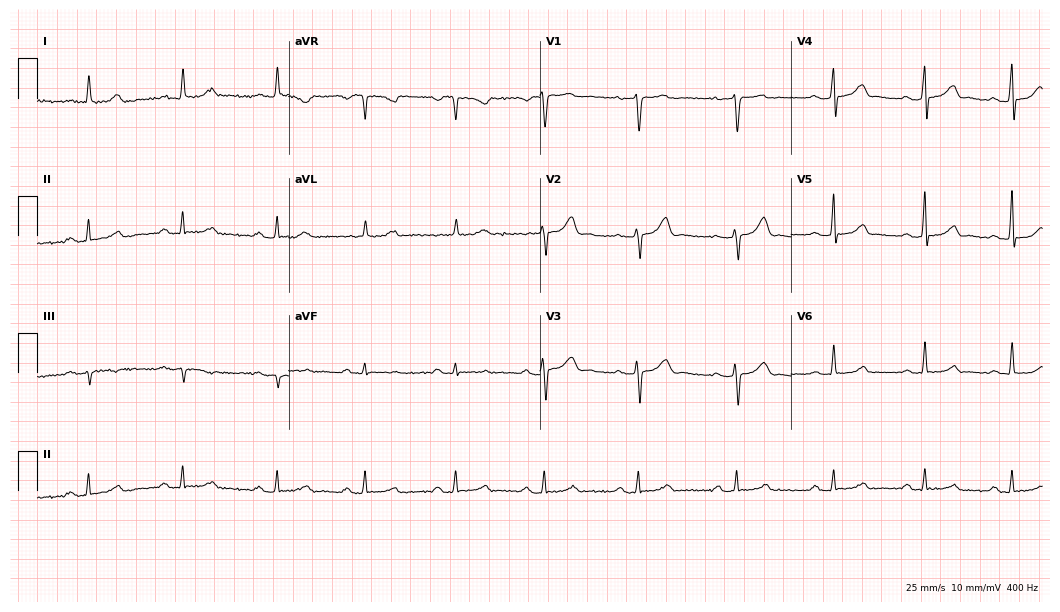
Electrocardiogram (10.2-second recording at 400 Hz), a woman, 44 years old. Of the six screened findings (first-degree AV block, right bundle branch block, left bundle branch block, sinus bradycardia, atrial fibrillation, sinus tachycardia), none is recorded. Other findings, if any, are not listed.